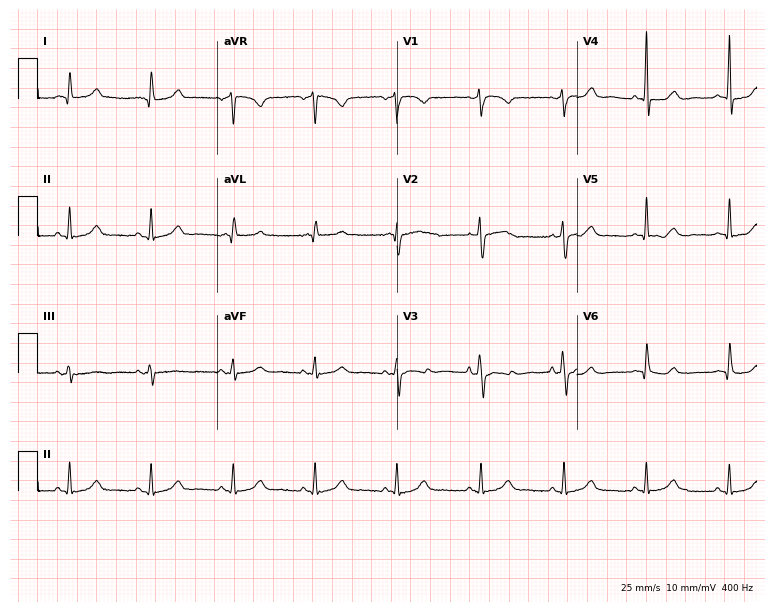
Resting 12-lead electrocardiogram. Patient: an 85-year-old female. None of these six findings is recorded: first-degree AV block, right bundle branch block, left bundle branch block, sinus bradycardia, atrial fibrillation, sinus tachycardia.